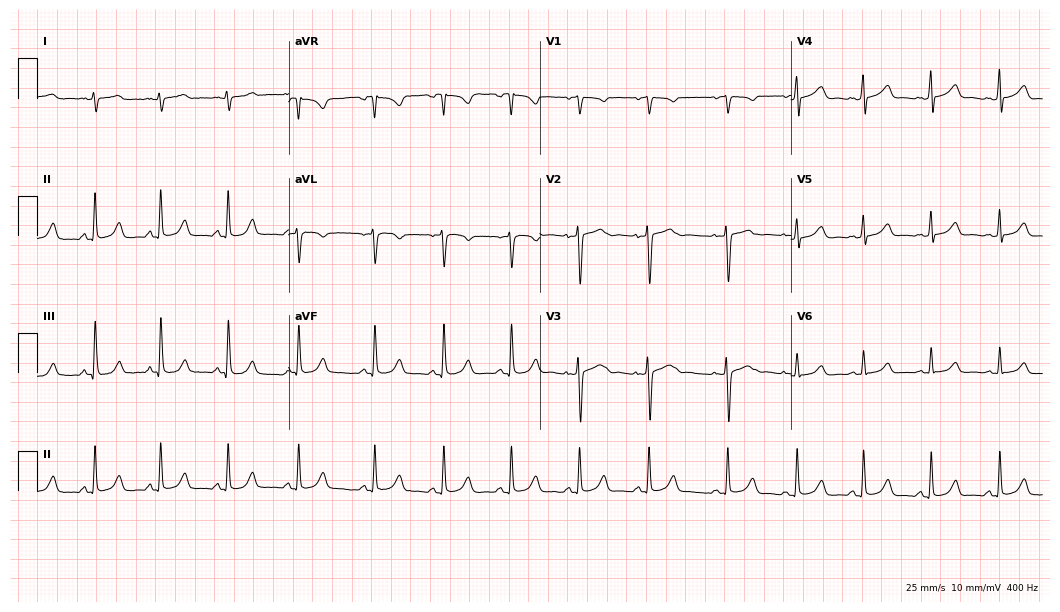
Electrocardiogram, a female, 20 years old. Overall reading on record: normal ECG.